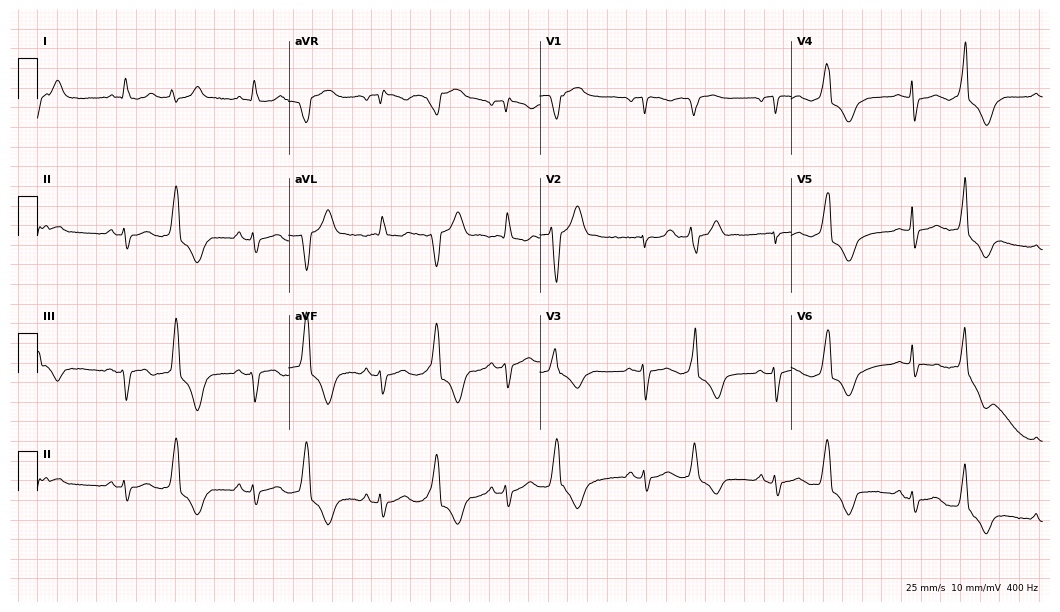
Resting 12-lead electrocardiogram. Patient: an 81-year-old woman. None of these six findings is recorded: first-degree AV block, right bundle branch block (RBBB), left bundle branch block (LBBB), sinus bradycardia, atrial fibrillation (AF), sinus tachycardia.